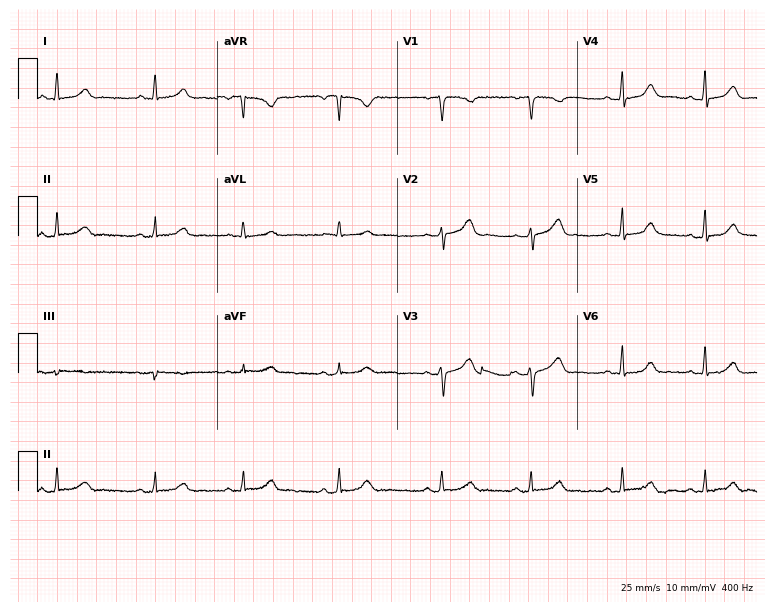
ECG (7.3-second recording at 400 Hz) — a woman, 35 years old. Labelled as a normal ECG.